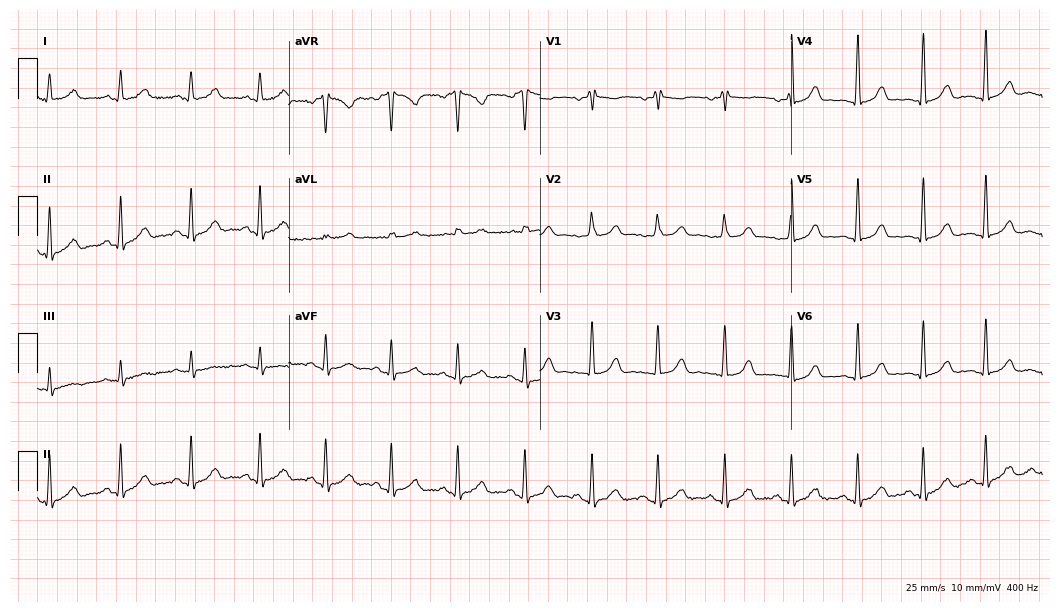
Electrocardiogram (10.2-second recording at 400 Hz), a female, 34 years old. Of the six screened findings (first-degree AV block, right bundle branch block (RBBB), left bundle branch block (LBBB), sinus bradycardia, atrial fibrillation (AF), sinus tachycardia), none is recorded. Other findings, if any, are not listed.